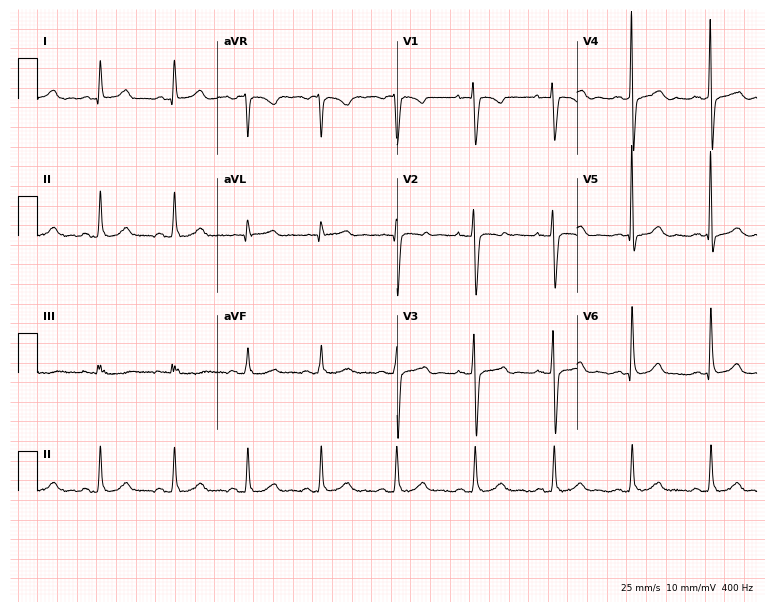
12-lead ECG from a 31-year-old female patient. Labelled as a normal ECG.